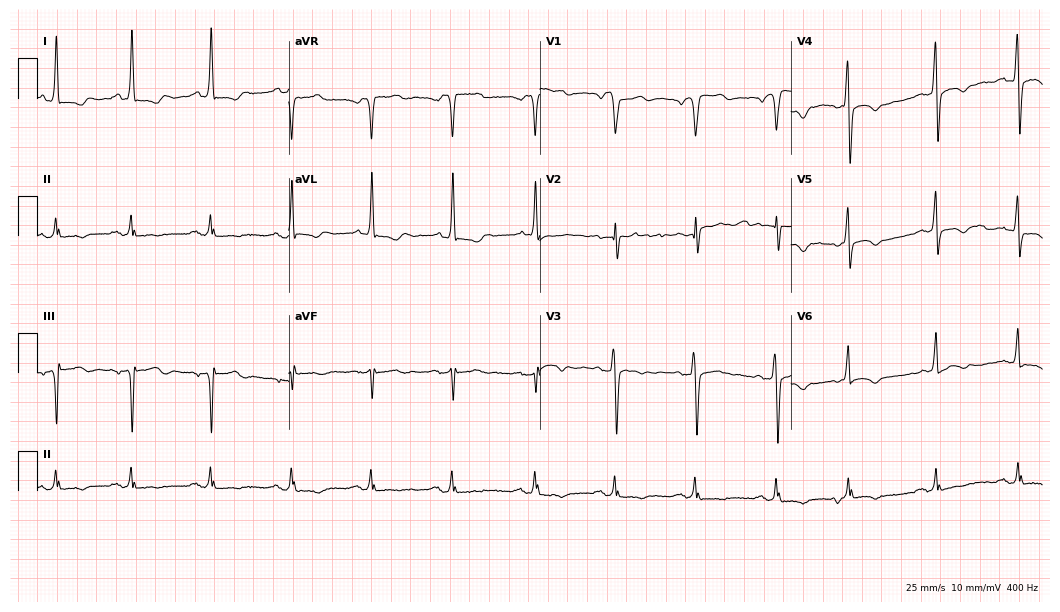
12-lead ECG (10.2-second recording at 400 Hz) from a male patient, 68 years old. Screened for six findings — first-degree AV block, right bundle branch block, left bundle branch block, sinus bradycardia, atrial fibrillation, sinus tachycardia — none is recorded.